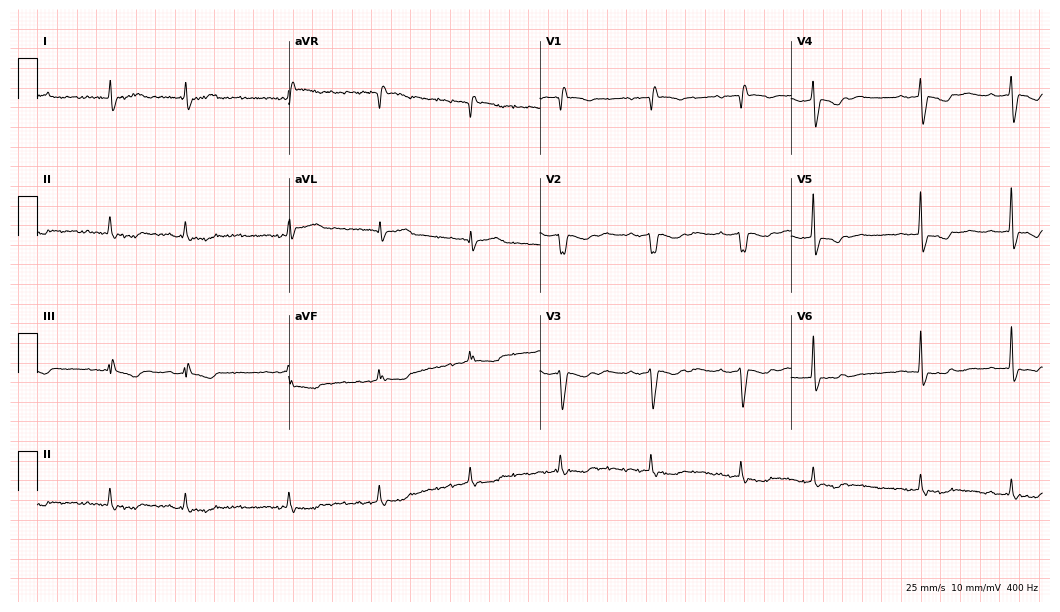
Standard 12-lead ECG recorded from an 83-year-old female patient (10.2-second recording at 400 Hz). The tracing shows atrial fibrillation (AF).